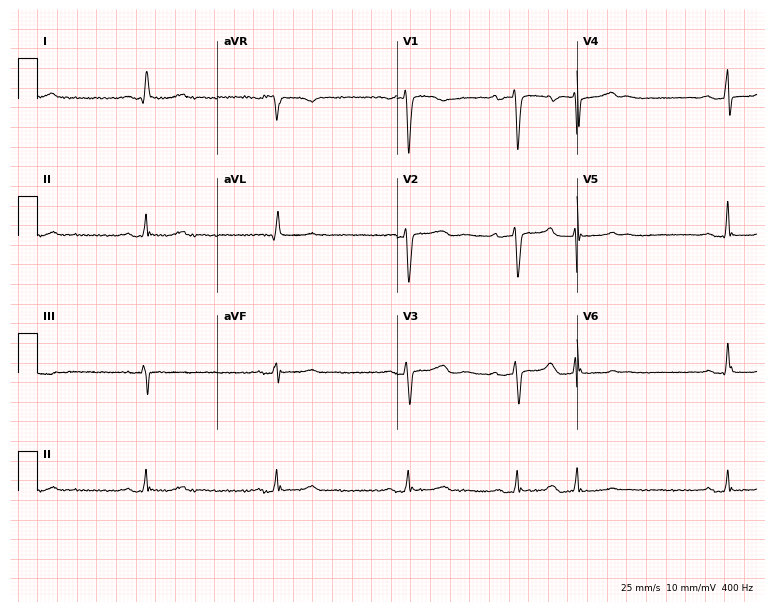
Resting 12-lead electrocardiogram. Patient: a 51-year-old female. The tracing shows sinus bradycardia (a sinus rate of 50 beats per minute or less).